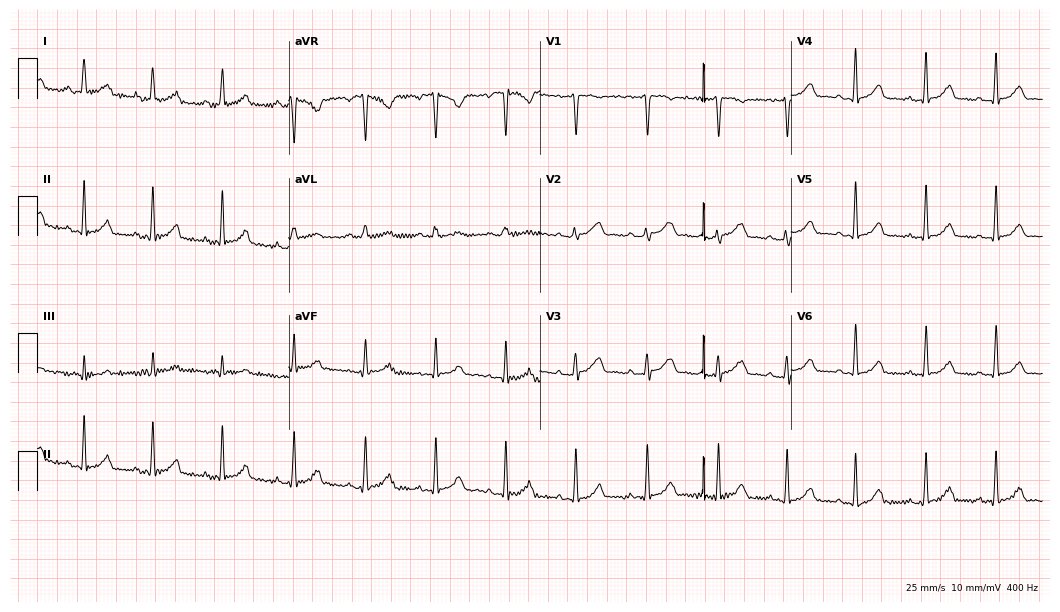
Electrocardiogram, a female patient, 33 years old. Of the six screened findings (first-degree AV block, right bundle branch block, left bundle branch block, sinus bradycardia, atrial fibrillation, sinus tachycardia), none is recorded.